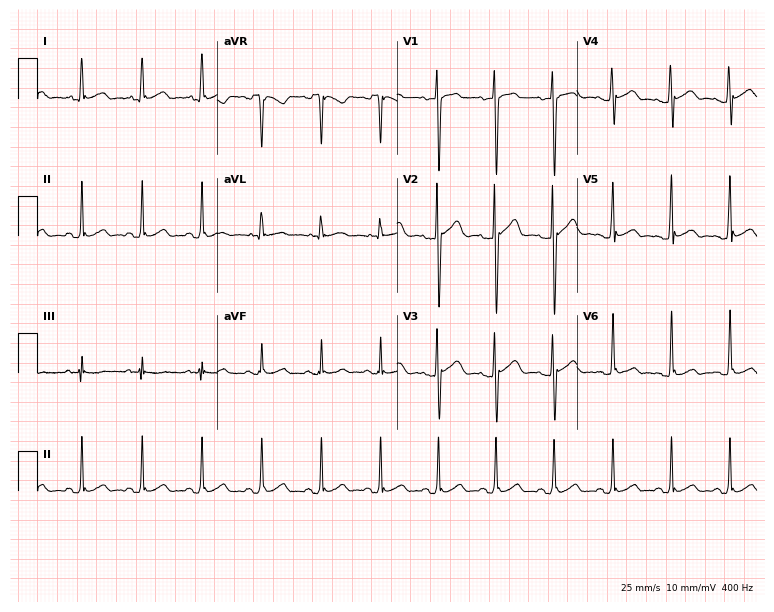
12-lead ECG from a male, 17 years old (7.3-second recording at 400 Hz). No first-degree AV block, right bundle branch block (RBBB), left bundle branch block (LBBB), sinus bradycardia, atrial fibrillation (AF) or sinus tachycardia recorded for this tracing.